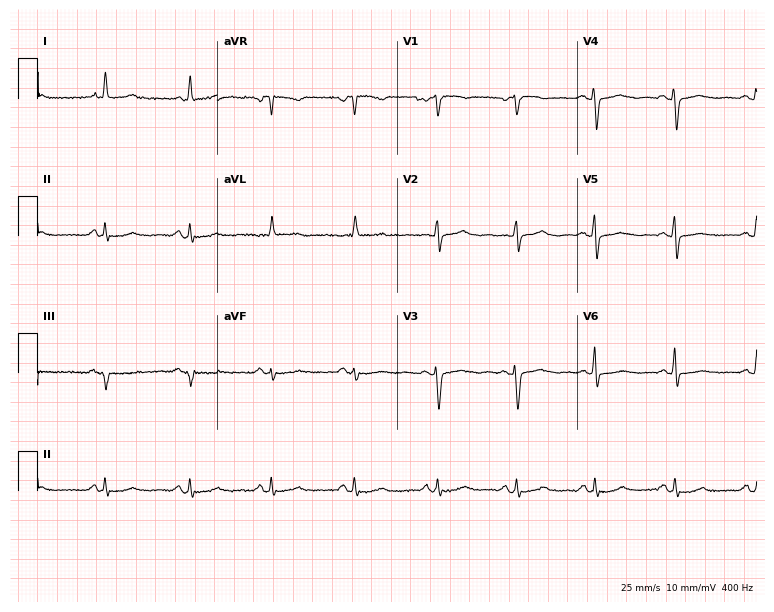
Resting 12-lead electrocardiogram (7.3-second recording at 400 Hz). Patient: a woman, 70 years old. None of these six findings is recorded: first-degree AV block, right bundle branch block (RBBB), left bundle branch block (LBBB), sinus bradycardia, atrial fibrillation (AF), sinus tachycardia.